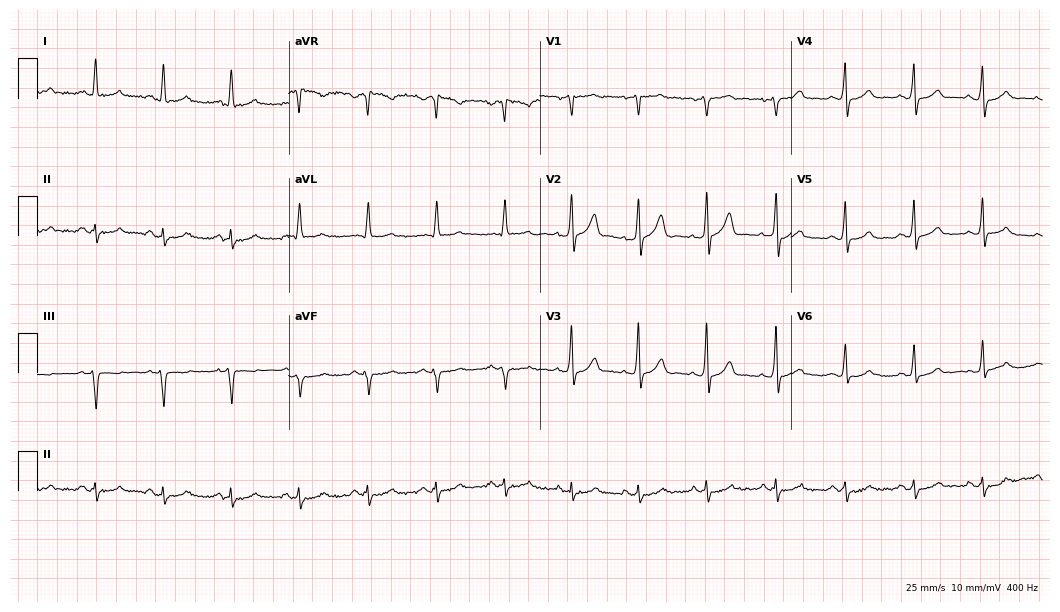
12-lead ECG from a male patient, 66 years old (10.2-second recording at 400 Hz). No first-degree AV block, right bundle branch block (RBBB), left bundle branch block (LBBB), sinus bradycardia, atrial fibrillation (AF) or sinus tachycardia recorded for this tracing.